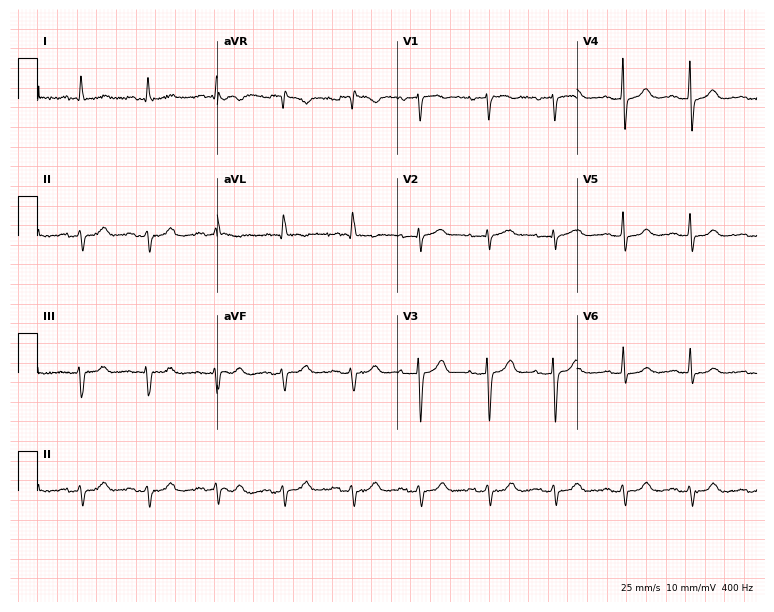
ECG — an 82-year-old woman. Screened for six findings — first-degree AV block, right bundle branch block, left bundle branch block, sinus bradycardia, atrial fibrillation, sinus tachycardia — none is recorded. Findings outside these six are not listed.